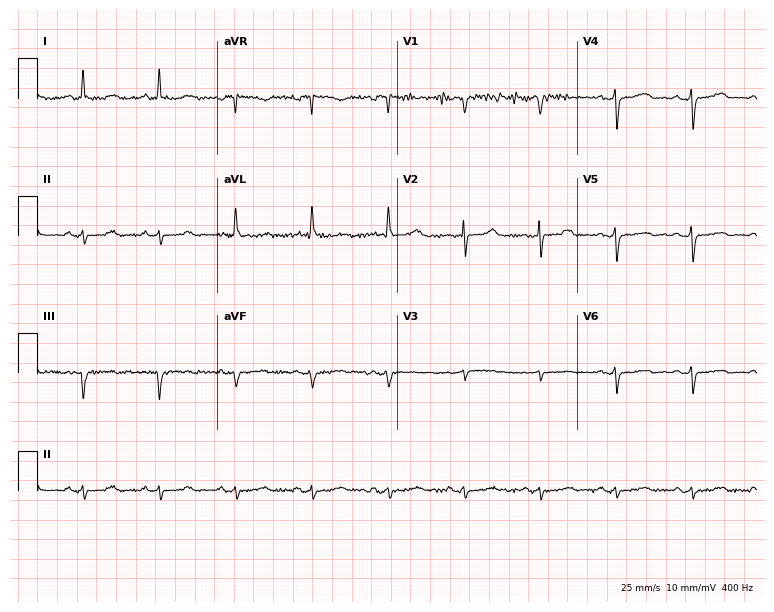
Standard 12-lead ECG recorded from a 65-year-old female. None of these six findings is recorded: first-degree AV block, right bundle branch block (RBBB), left bundle branch block (LBBB), sinus bradycardia, atrial fibrillation (AF), sinus tachycardia.